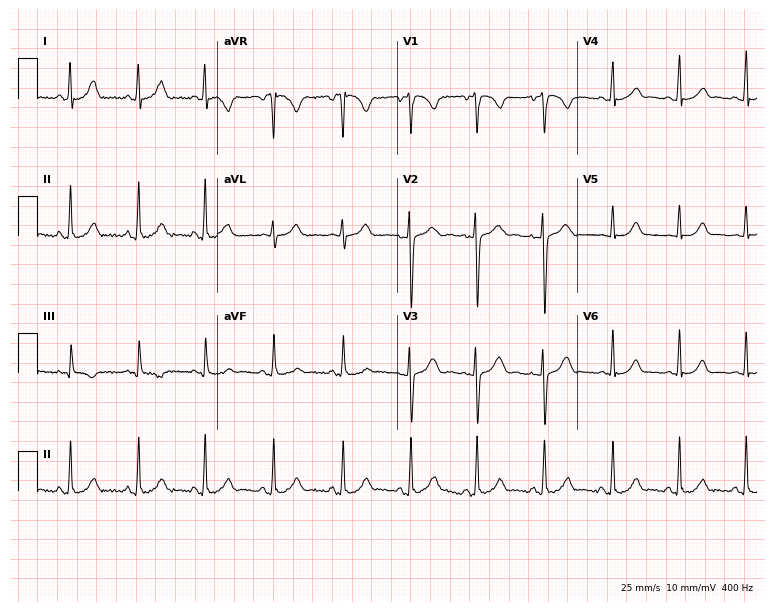
Standard 12-lead ECG recorded from a 20-year-old woman. Read as a normal ECG.